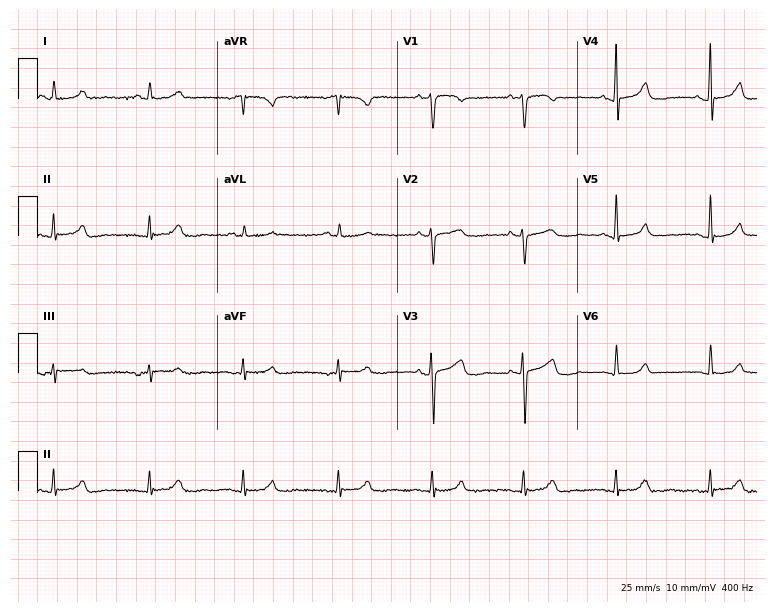
12-lead ECG from a 53-year-old male. Recorded interpretation: within normal limits.